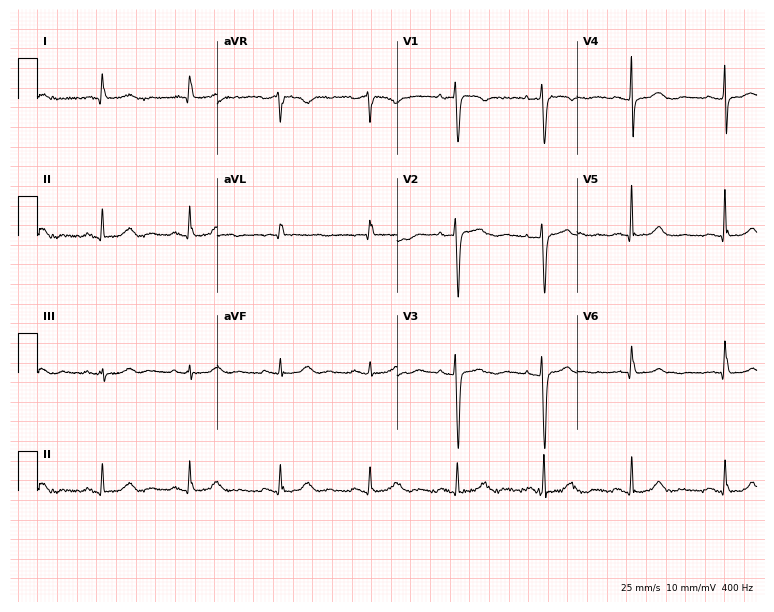
ECG (7.3-second recording at 400 Hz) — a 60-year-old female. Screened for six findings — first-degree AV block, right bundle branch block (RBBB), left bundle branch block (LBBB), sinus bradycardia, atrial fibrillation (AF), sinus tachycardia — none is recorded.